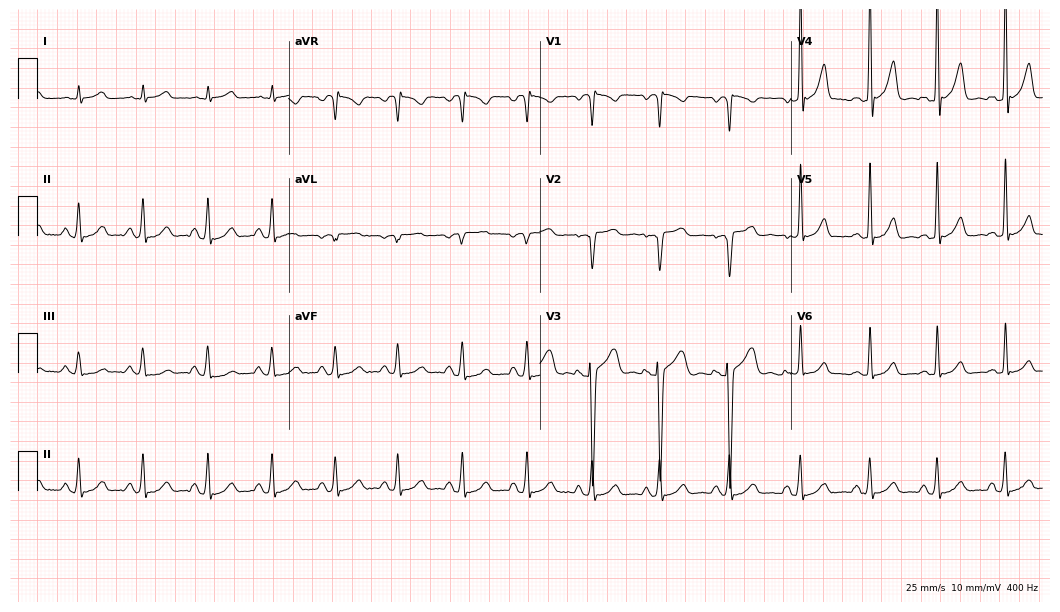
12-lead ECG from a male, 37 years old (10.2-second recording at 400 Hz). No first-degree AV block, right bundle branch block (RBBB), left bundle branch block (LBBB), sinus bradycardia, atrial fibrillation (AF) or sinus tachycardia recorded for this tracing. Only these six findings were labelled.